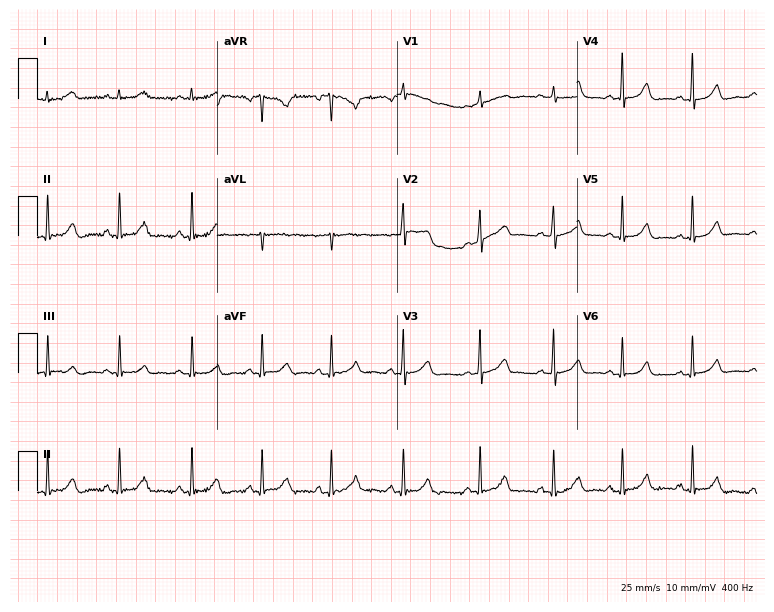
12-lead ECG from a woman, 26 years old (7.3-second recording at 400 Hz). Recorded interpretation: within normal limits.